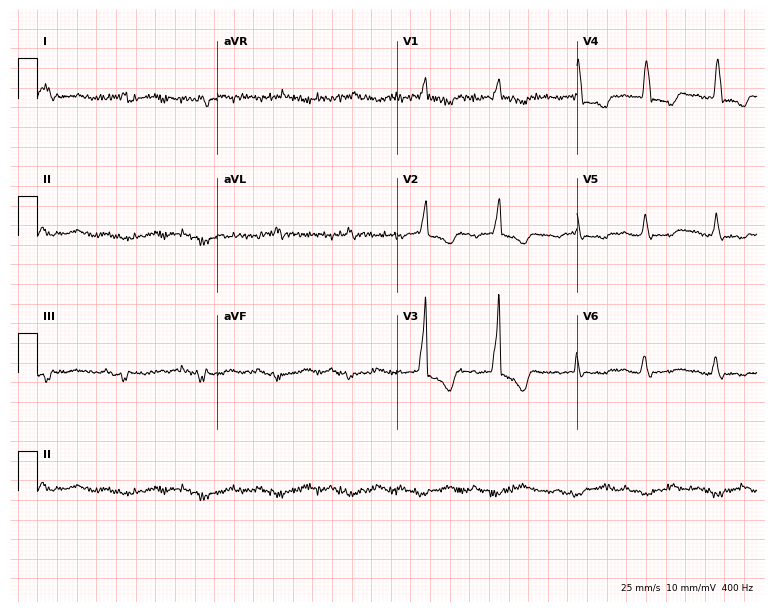
Standard 12-lead ECG recorded from a 74-year-old man. None of these six findings is recorded: first-degree AV block, right bundle branch block (RBBB), left bundle branch block (LBBB), sinus bradycardia, atrial fibrillation (AF), sinus tachycardia.